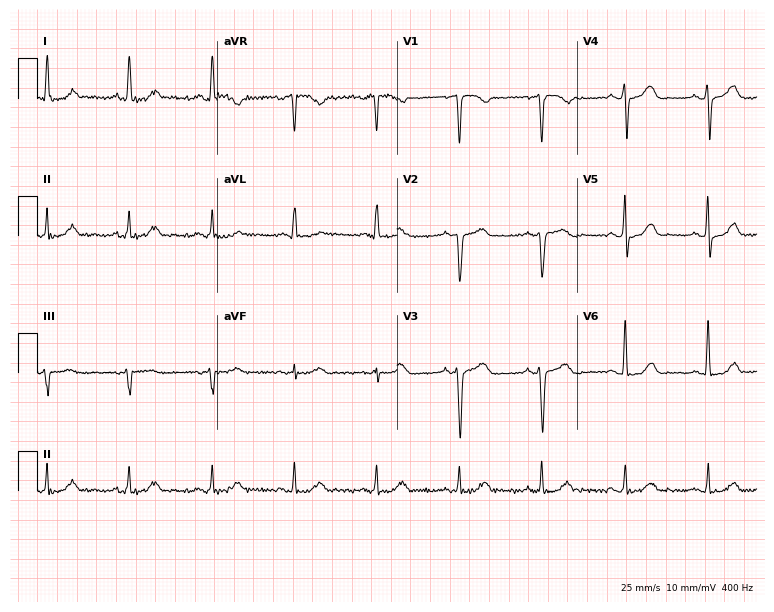
12-lead ECG from a 76-year-old male. Screened for six findings — first-degree AV block, right bundle branch block, left bundle branch block, sinus bradycardia, atrial fibrillation, sinus tachycardia — none is recorded.